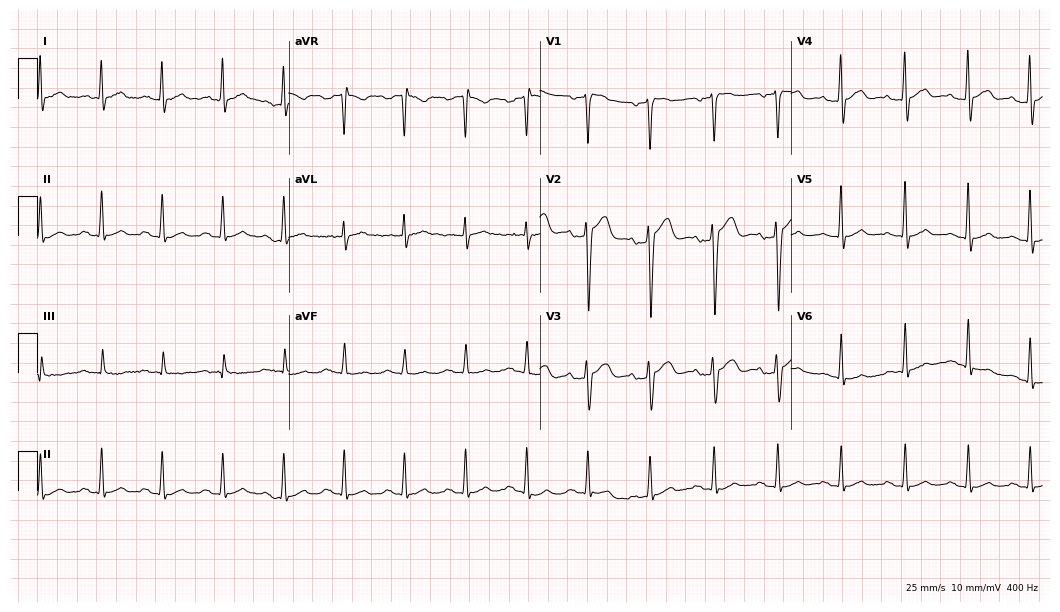
ECG (10.2-second recording at 400 Hz) — a man, 70 years old. Labelled as a normal ECG.